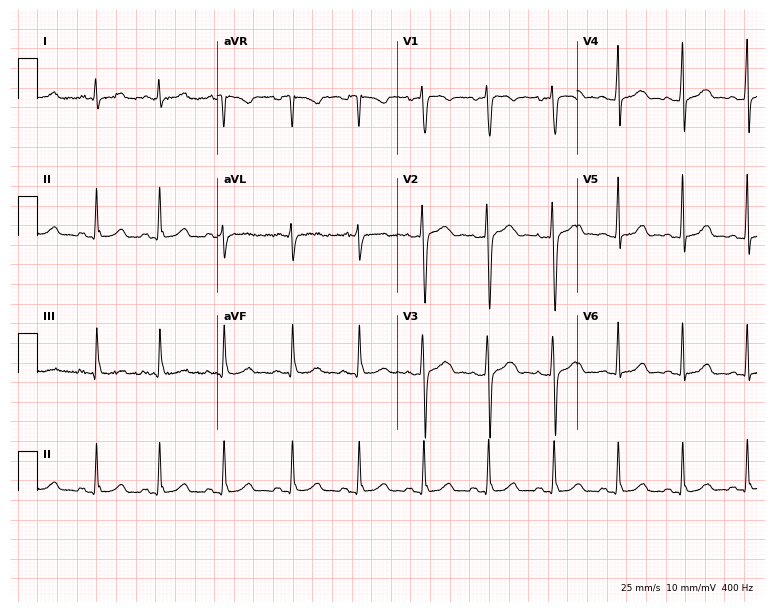
12-lead ECG (7.3-second recording at 400 Hz) from a 25-year-old female patient. Labelled as a normal ECG.